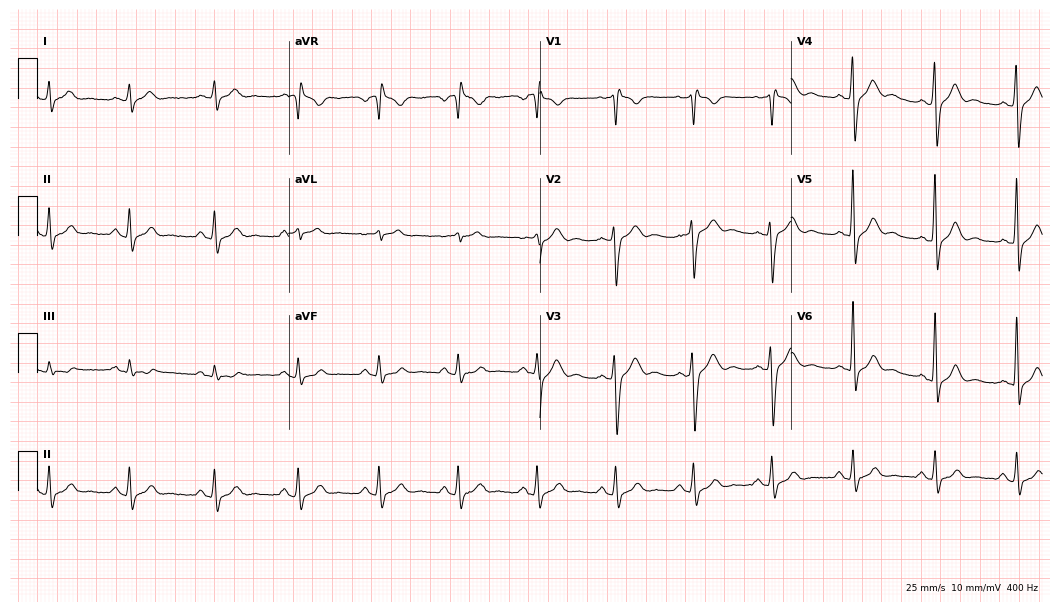
Standard 12-lead ECG recorded from a man, 37 years old (10.2-second recording at 400 Hz). None of these six findings is recorded: first-degree AV block, right bundle branch block (RBBB), left bundle branch block (LBBB), sinus bradycardia, atrial fibrillation (AF), sinus tachycardia. Only these six findings were labelled.